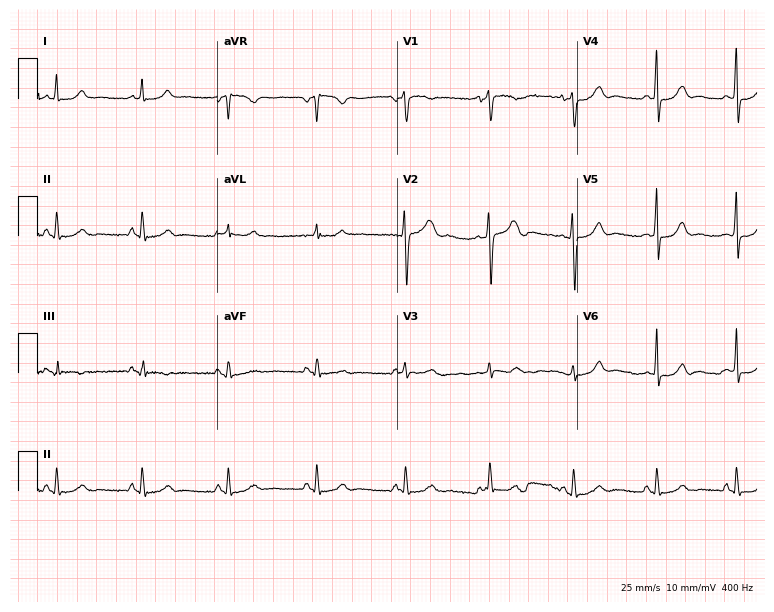
12-lead ECG from a 34-year-old female patient. Recorded interpretation: within normal limits.